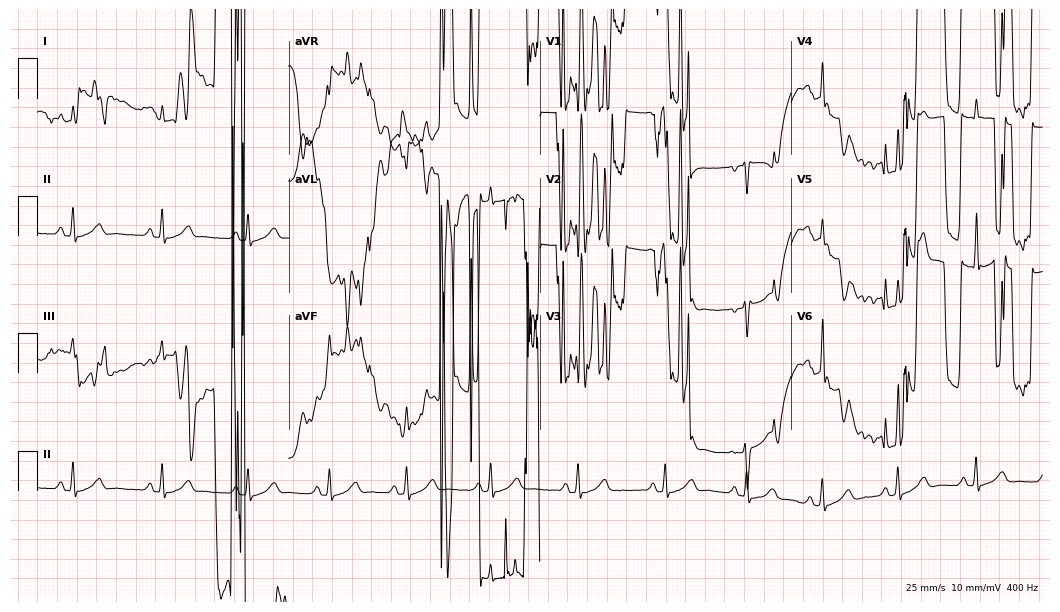
12-lead ECG from a 31-year-old female (10.2-second recording at 400 Hz). No first-degree AV block, right bundle branch block (RBBB), left bundle branch block (LBBB), sinus bradycardia, atrial fibrillation (AF) or sinus tachycardia recorded for this tracing. Other findings, if any, are not listed.